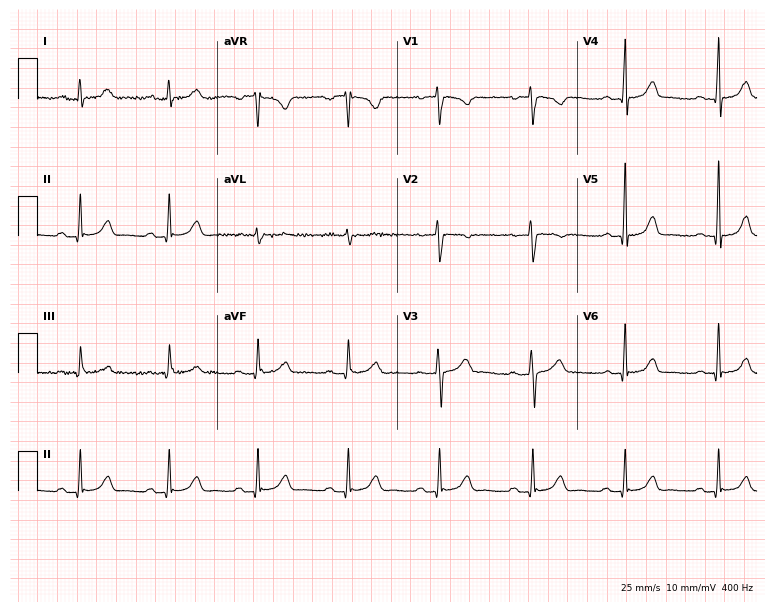
Standard 12-lead ECG recorded from a woman, 35 years old. None of these six findings is recorded: first-degree AV block, right bundle branch block (RBBB), left bundle branch block (LBBB), sinus bradycardia, atrial fibrillation (AF), sinus tachycardia. Only these six findings were labelled.